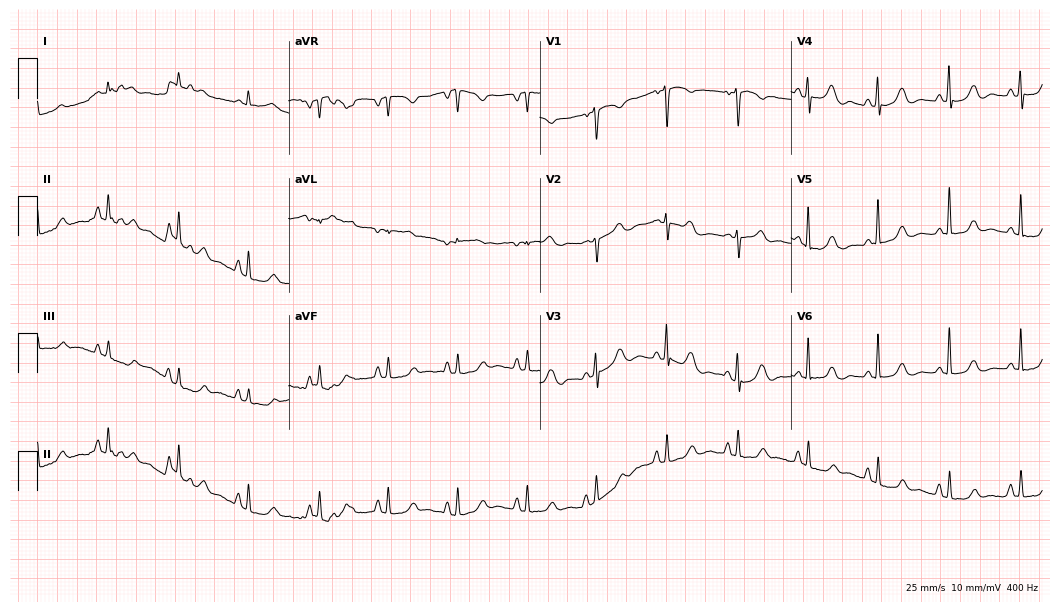
ECG (10.2-second recording at 400 Hz) — a 61-year-old female patient. Screened for six findings — first-degree AV block, right bundle branch block, left bundle branch block, sinus bradycardia, atrial fibrillation, sinus tachycardia — none is recorded.